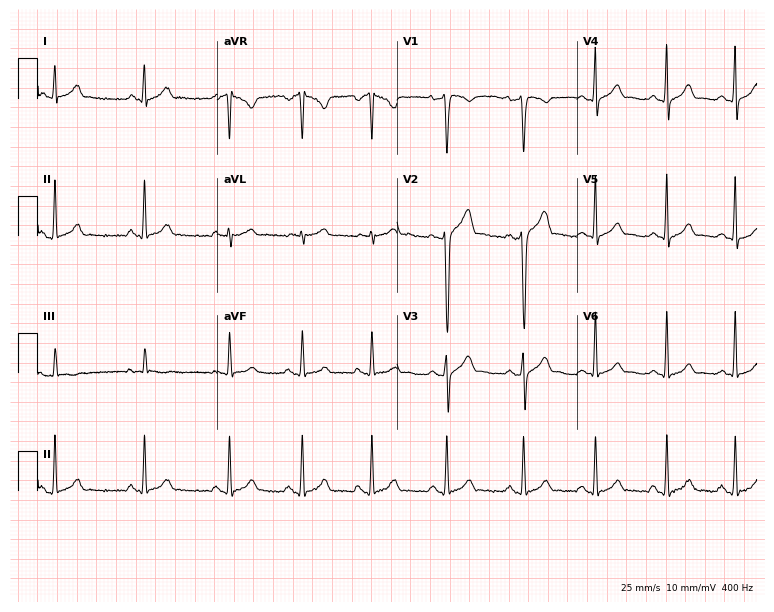
Resting 12-lead electrocardiogram (7.3-second recording at 400 Hz). Patient: a 25-year-old man. Read as a normal ECG.